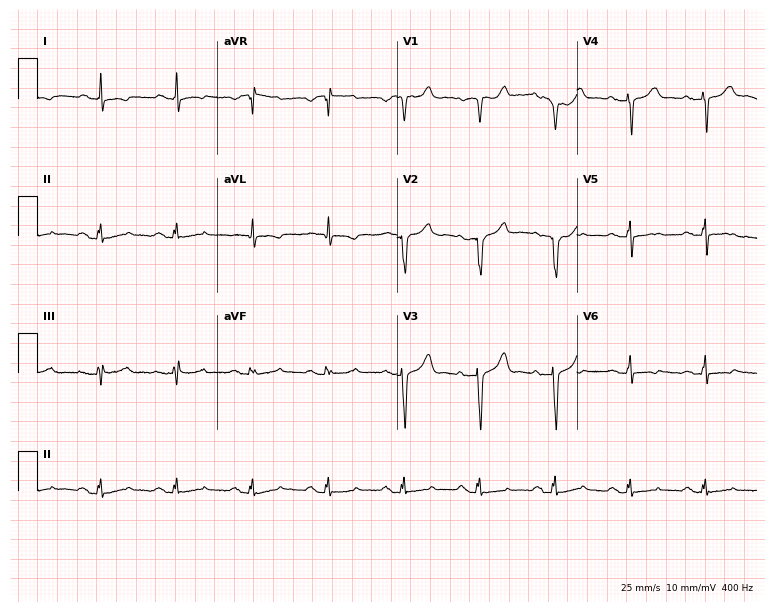
Resting 12-lead electrocardiogram. Patient: a 68-year-old male. None of these six findings is recorded: first-degree AV block, right bundle branch block, left bundle branch block, sinus bradycardia, atrial fibrillation, sinus tachycardia. Other findings, if any, are not listed.